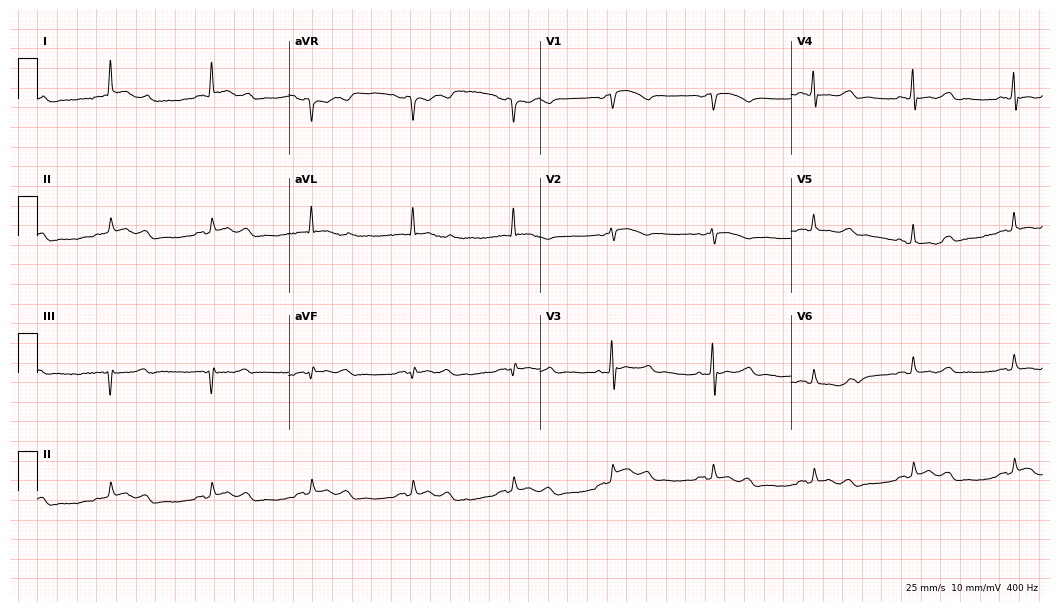
12-lead ECG from a female patient, 75 years old. No first-degree AV block, right bundle branch block (RBBB), left bundle branch block (LBBB), sinus bradycardia, atrial fibrillation (AF) or sinus tachycardia recorded for this tracing.